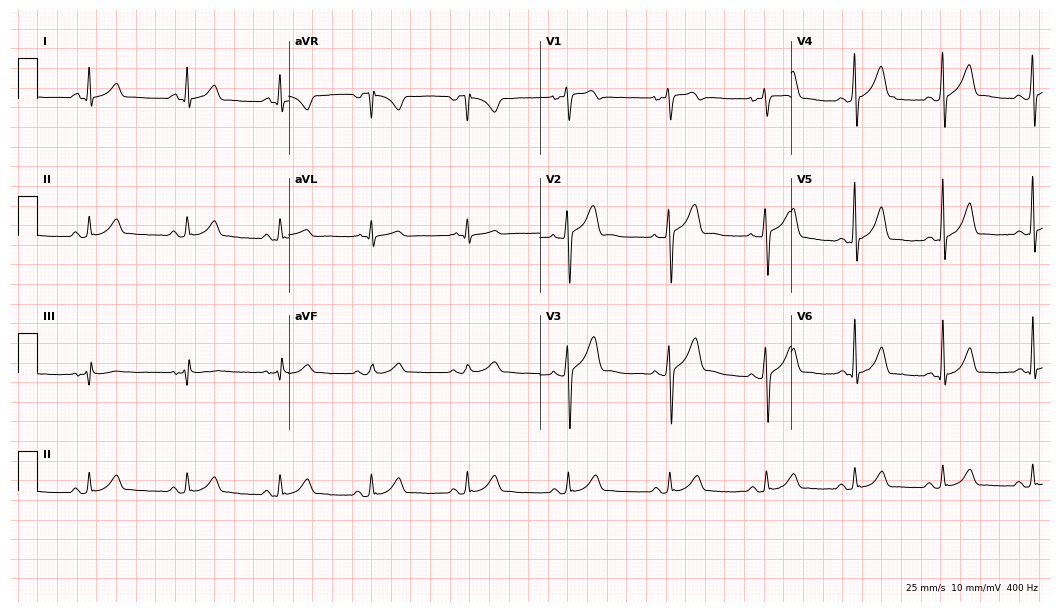
12-lead ECG from a 28-year-old man (10.2-second recording at 400 Hz). Recorded interpretation: within normal limits.